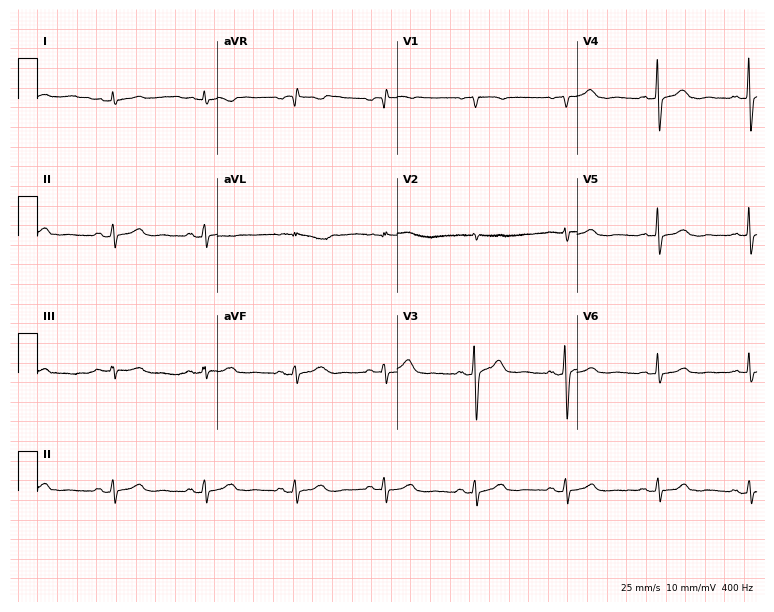
ECG (7.3-second recording at 400 Hz) — a male, 74 years old. Labelled as a normal ECG.